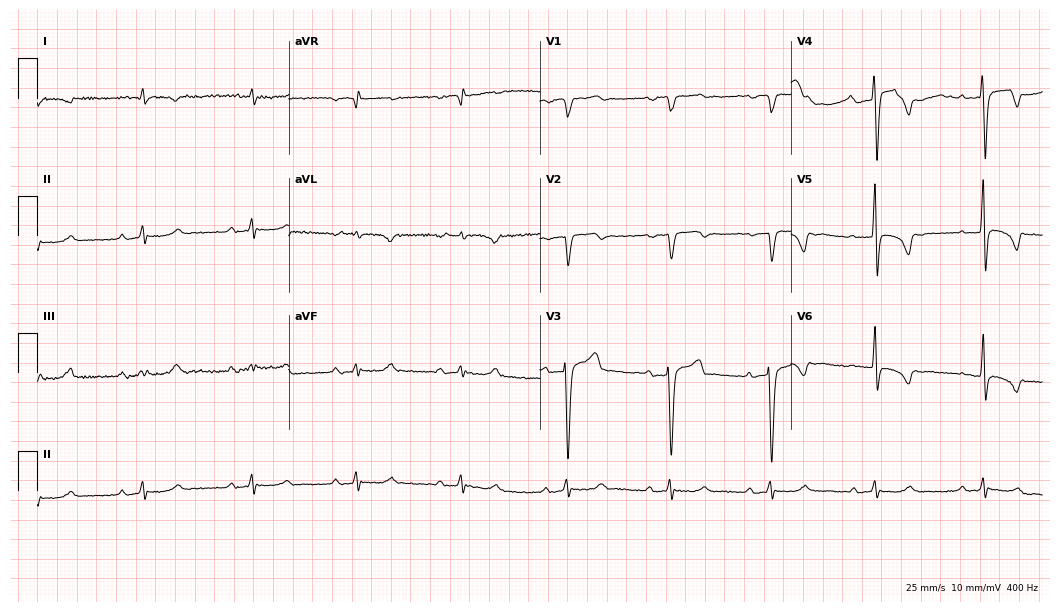
12-lead ECG from a 67-year-old male patient (10.2-second recording at 400 Hz). No first-degree AV block, right bundle branch block, left bundle branch block, sinus bradycardia, atrial fibrillation or sinus tachycardia recorded for this tracing.